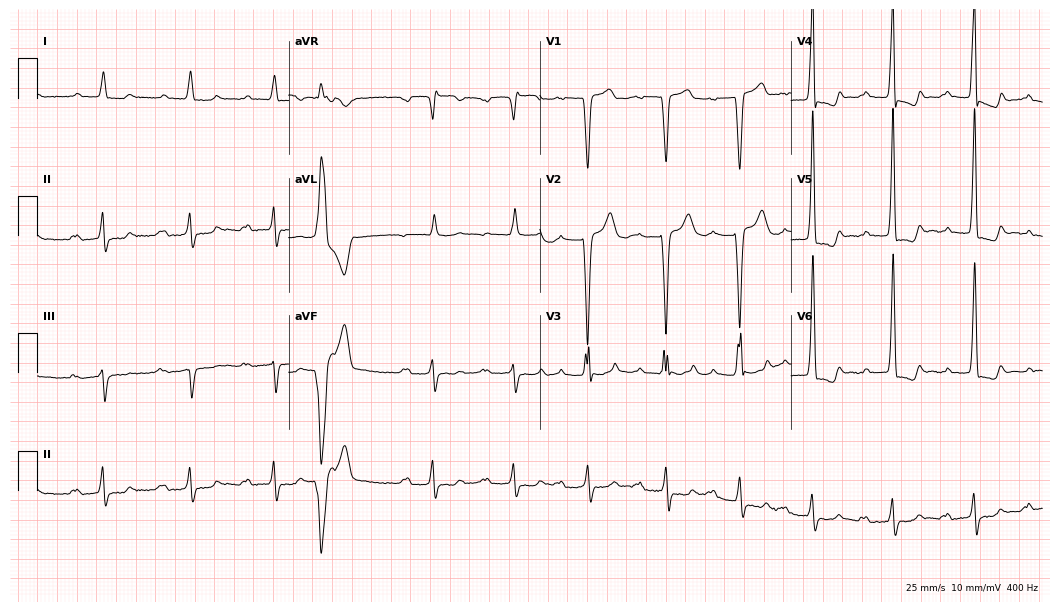
12-lead ECG from a 68-year-old man. Shows first-degree AV block.